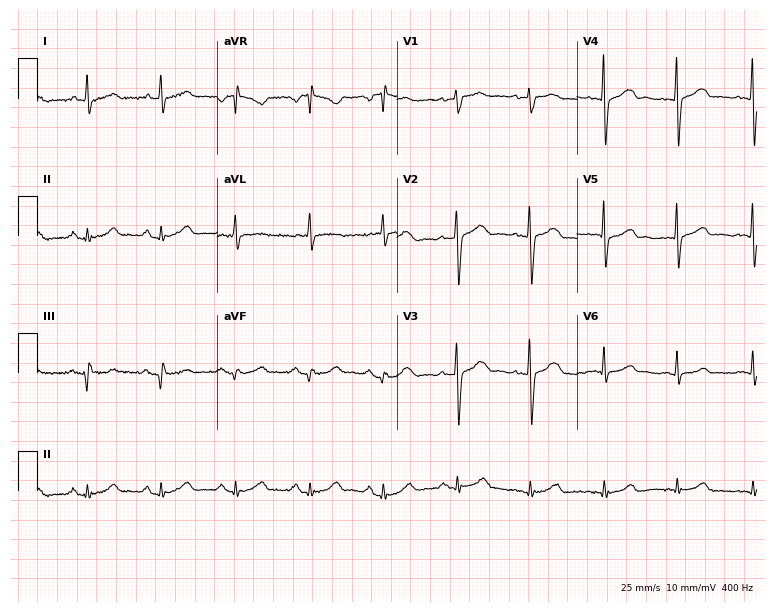
12-lead ECG from a female, 61 years old. Recorded interpretation: within normal limits.